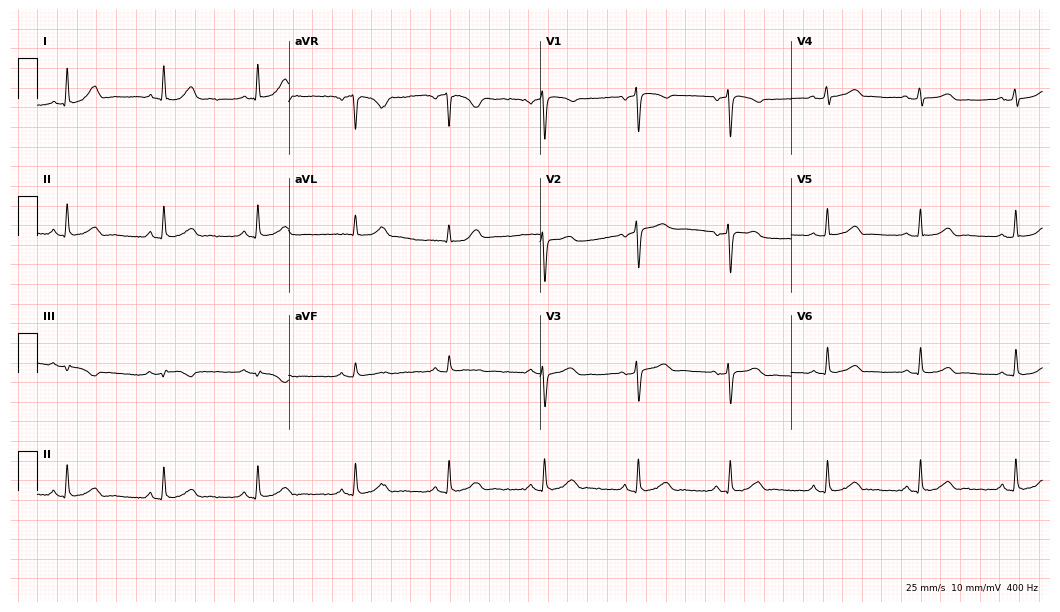
12-lead ECG from a 42-year-old female (10.2-second recording at 400 Hz). Recorded interpretation: within normal limits.